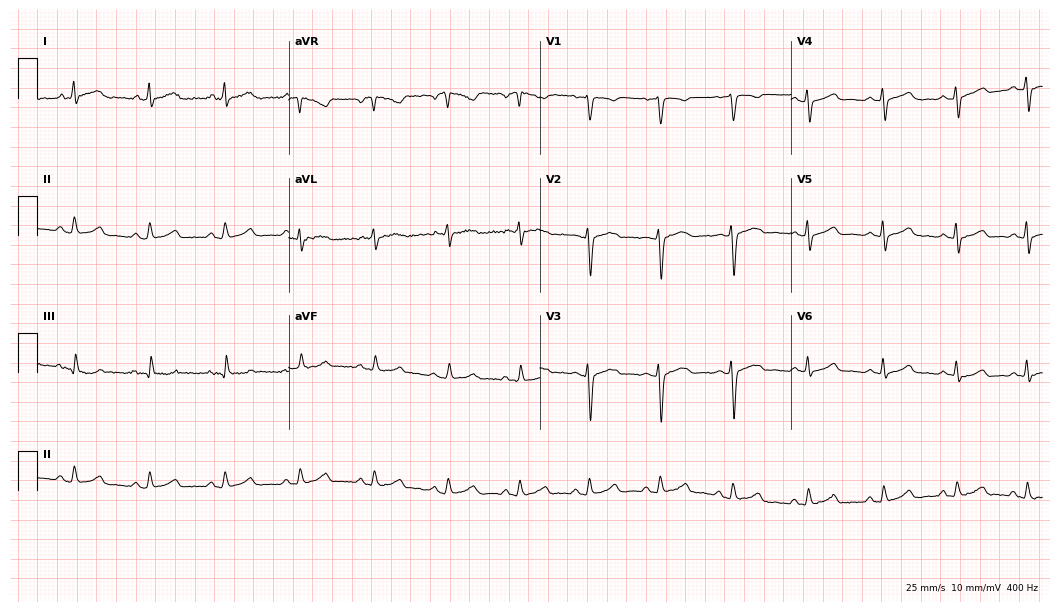
Electrocardiogram, a 39-year-old woman. Overall reading on record: normal ECG.